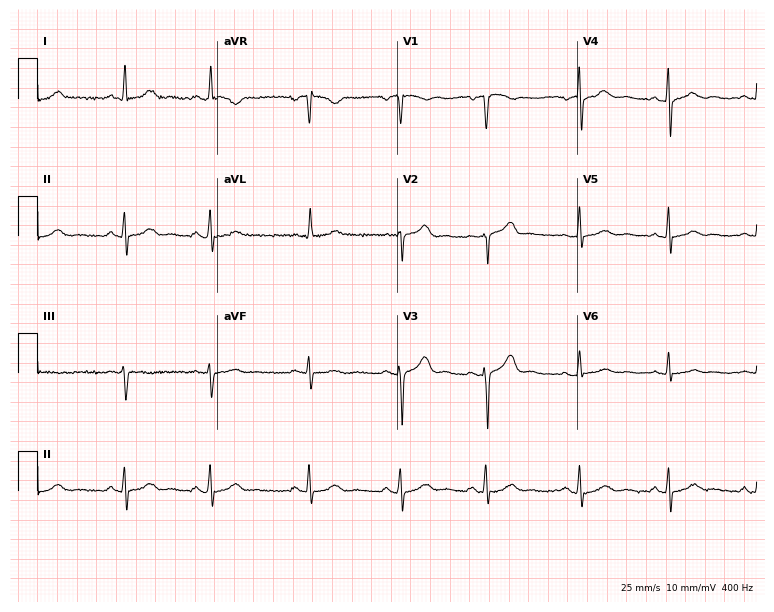
12-lead ECG (7.3-second recording at 400 Hz) from a female patient, 44 years old. Labelled as a normal ECG.